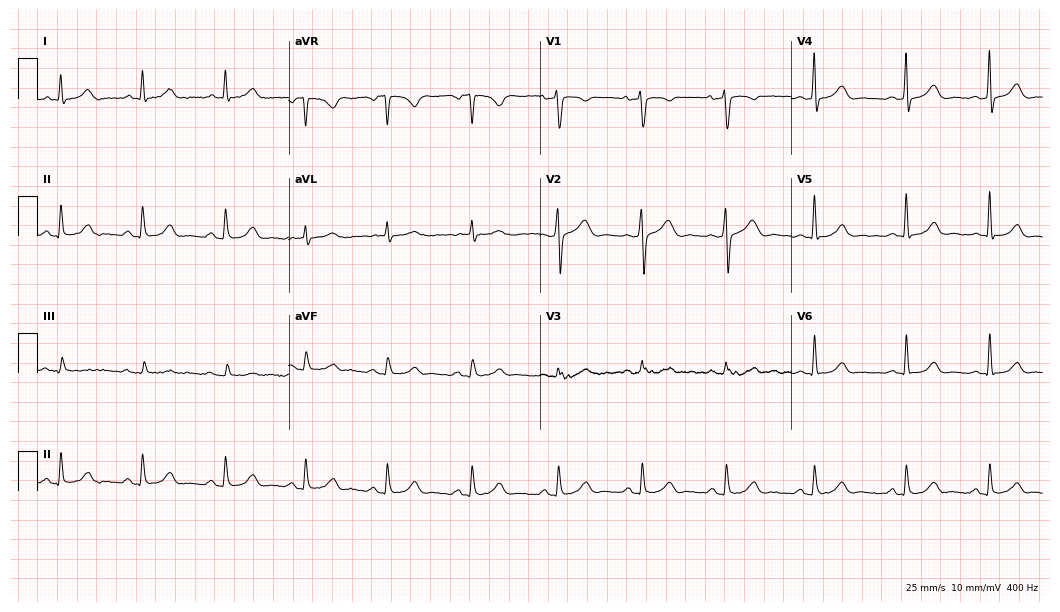
ECG — a female, 44 years old. Labelled as a normal ECG.